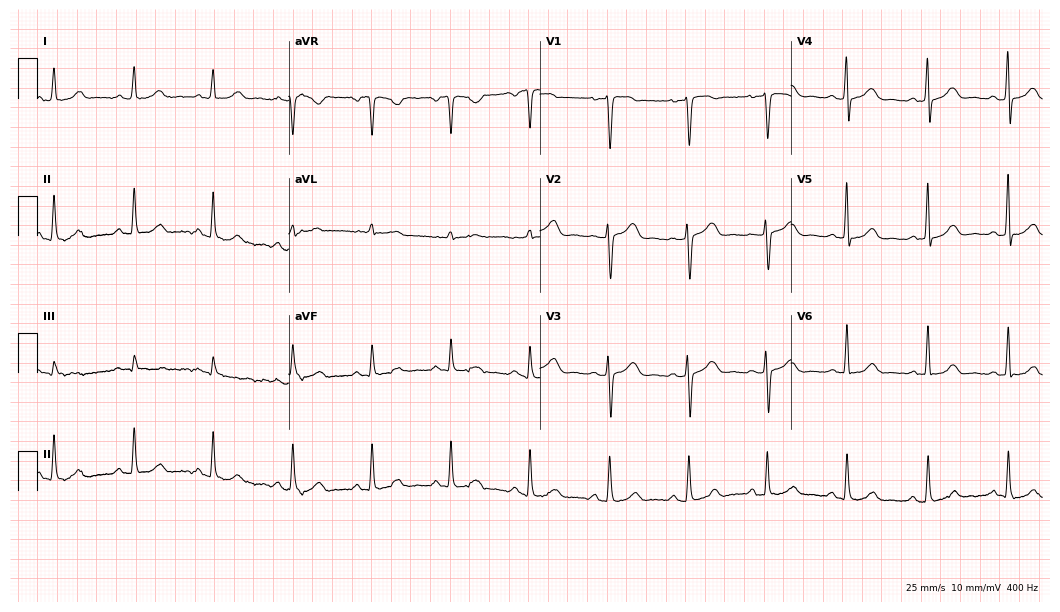
Resting 12-lead electrocardiogram. Patient: a female, 46 years old. Read as a normal ECG.